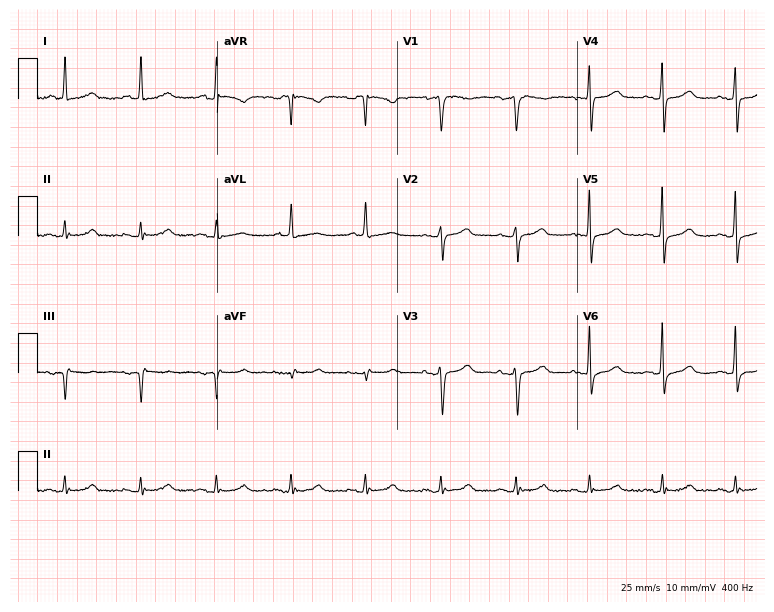
Standard 12-lead ECG recorded from a 71-year-old female (7.3-second recording at 400 Hz). Read as a normal ECG.